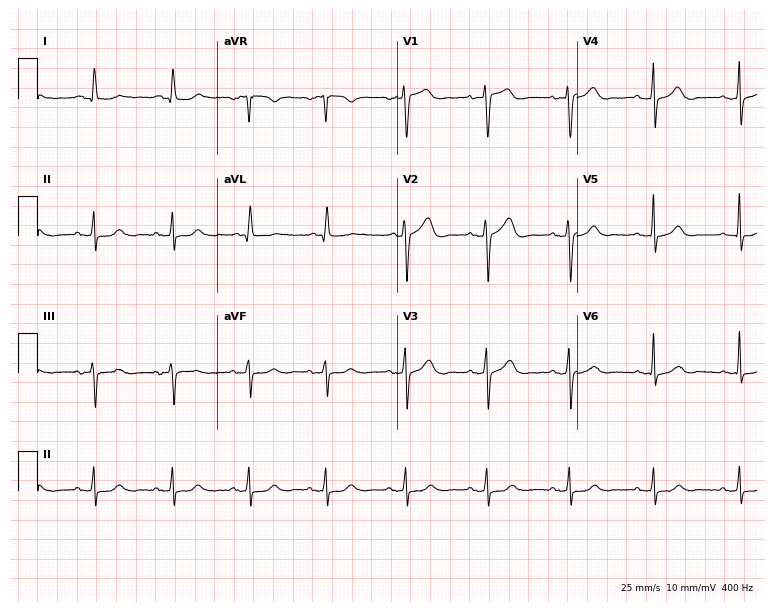
ECG — a 62-year-old woman. Labelled as a normal ECG.